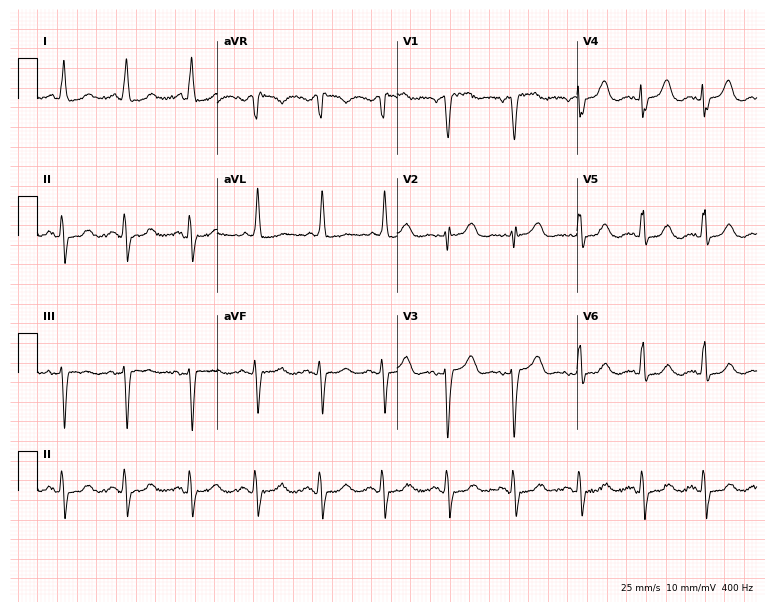
12-lead ECG (7.3-second recording at 400 Hz) from a 78-year-old female. Screened for six findings — first-degree AV block, right bundle branch block, left bundle branch block, sinus bradycardia, atrial fibrillation, sinus tachycardia — none is recorded. Other findings, if any, are not listed.